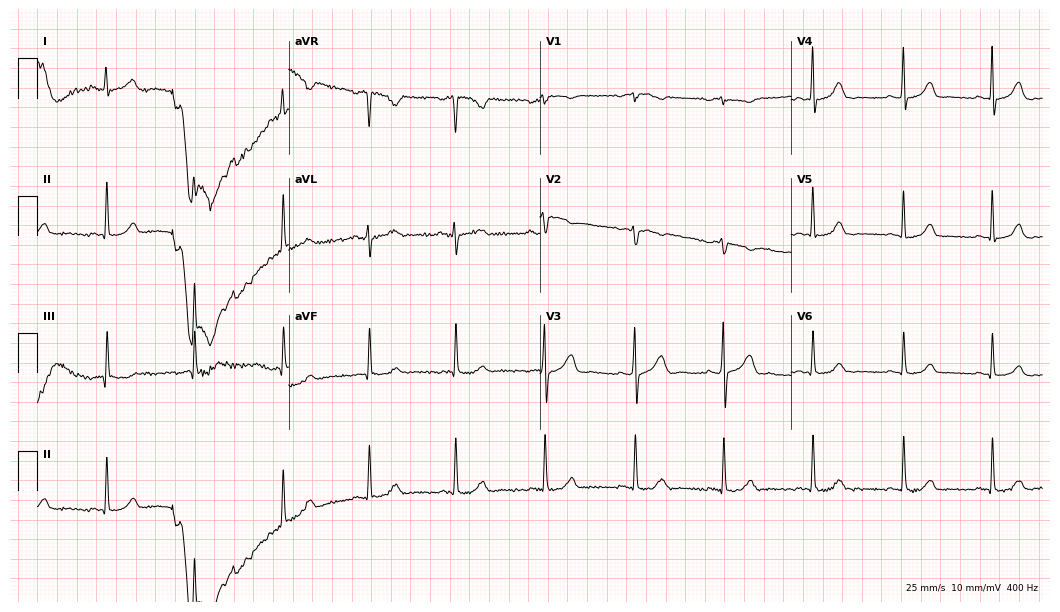
ECG — a woman, 42 years old. Labelled as a normal ECG.